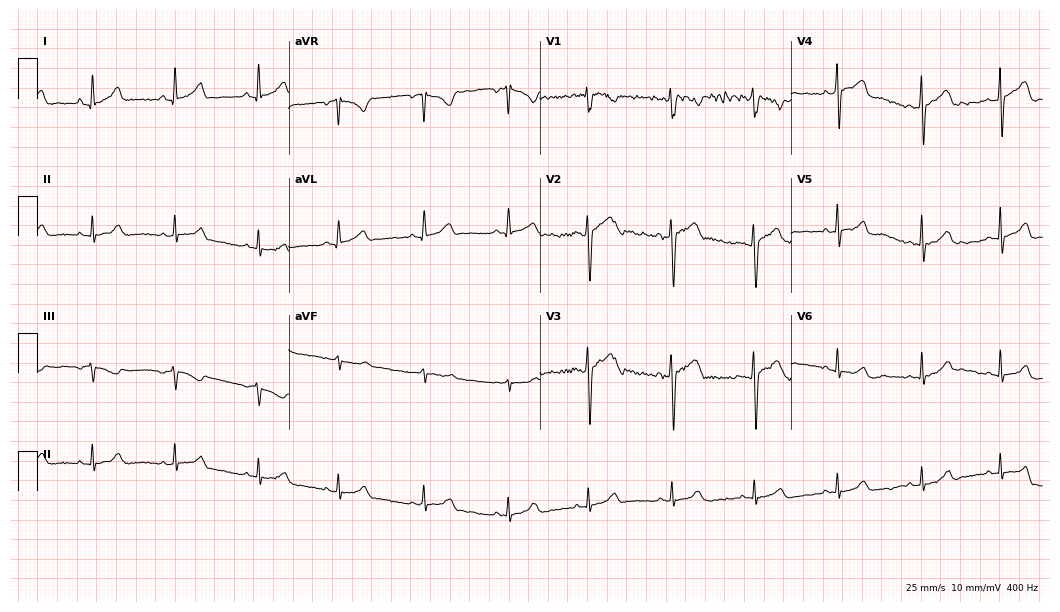
Resting 12-lead electrocardiogram (10.2-second recording at 400 Hz). Patient: a 20-year-old male. Read as a normal ECG.